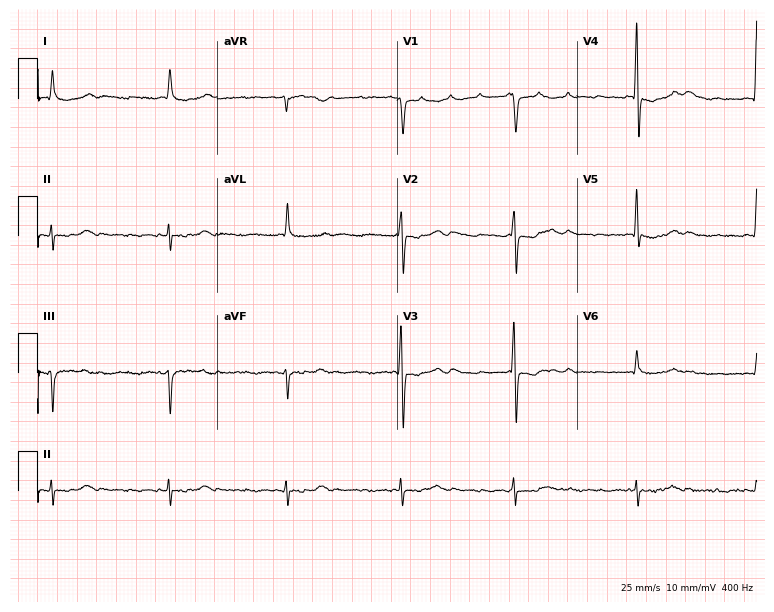
12-lead ECG from a male patient, 82 years old. Shows sinus bradycardia (a sinus rate of 50 beats per minute or less).